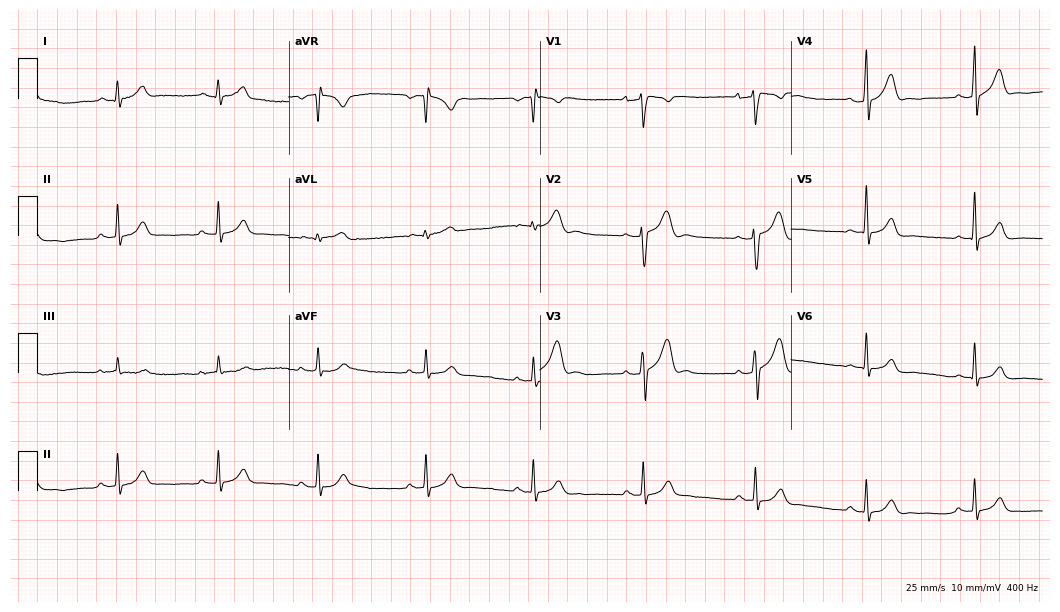
ECG (10.2-second recording at 400 Hz) — a 22-year-old male. Labelled as a normal ECG.